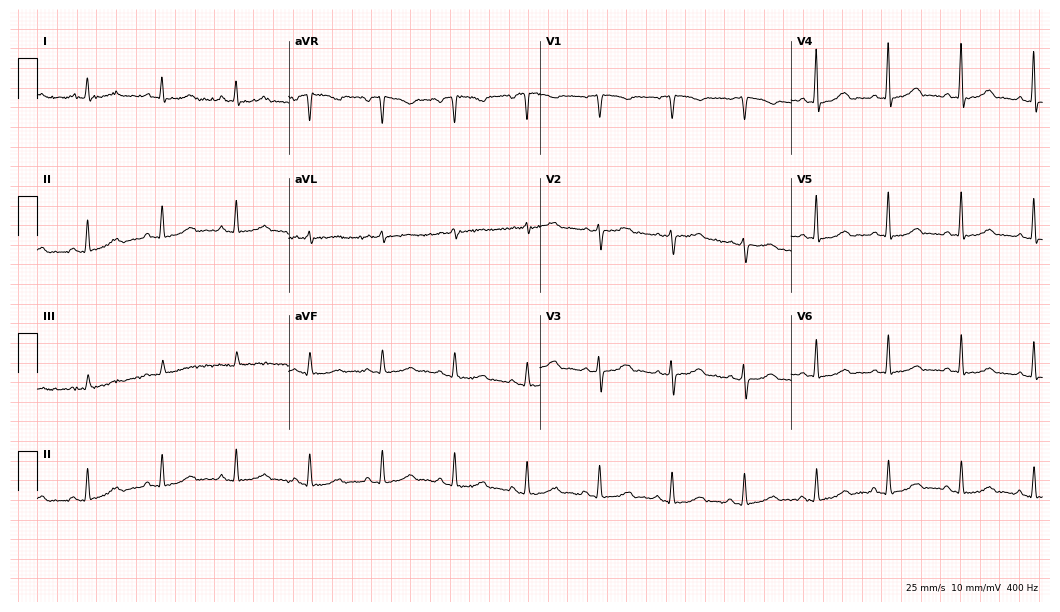
Resting 12-lead electrocardiogram. Patient: a woman, 66 years old. Read as a normal ECG.